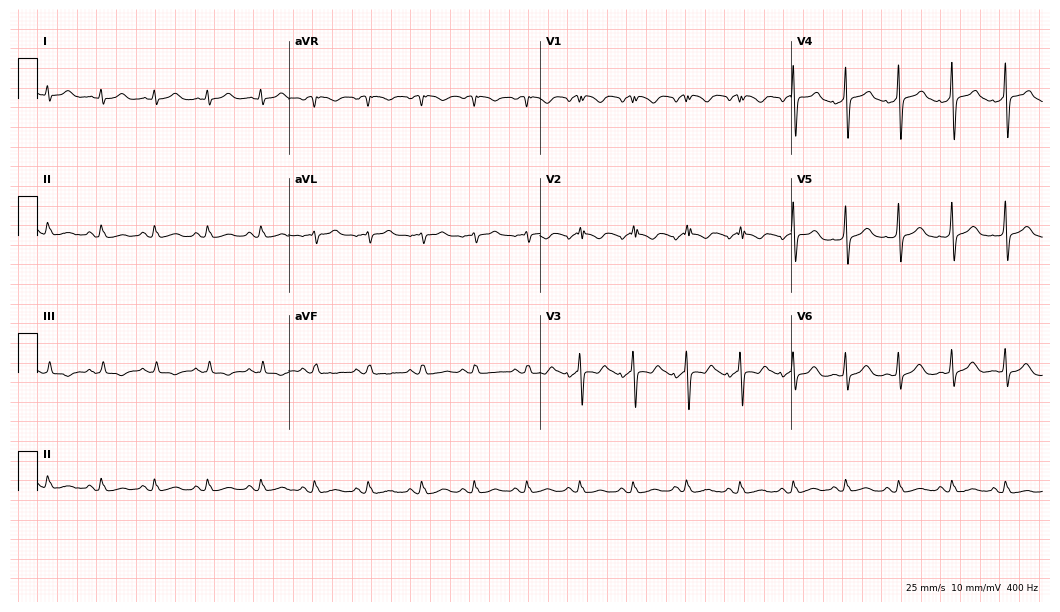
Electrocardiogram, a 66-year-old man. Interpretation includes sinus tachycardia (a sinus rate of 100 beats per minute or more).